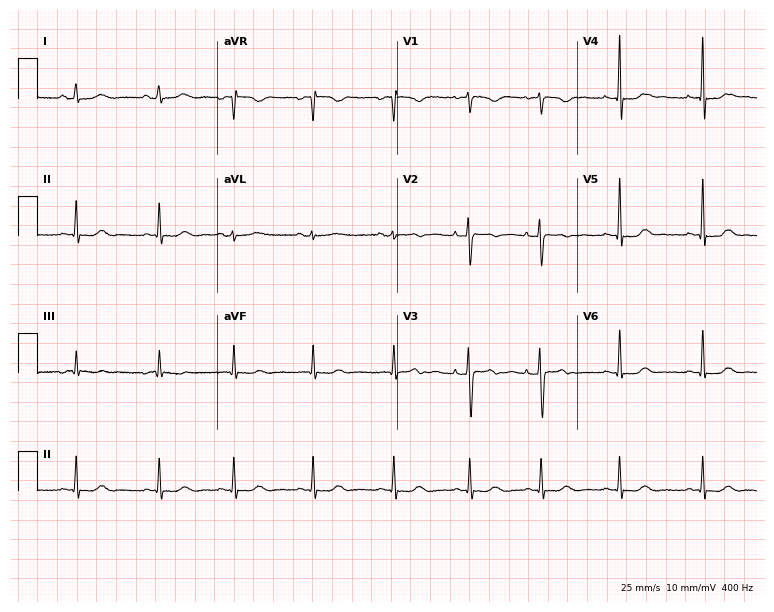
12-lead ECG from a woman, 25 years old. Recorded interpretation: within normal limits.